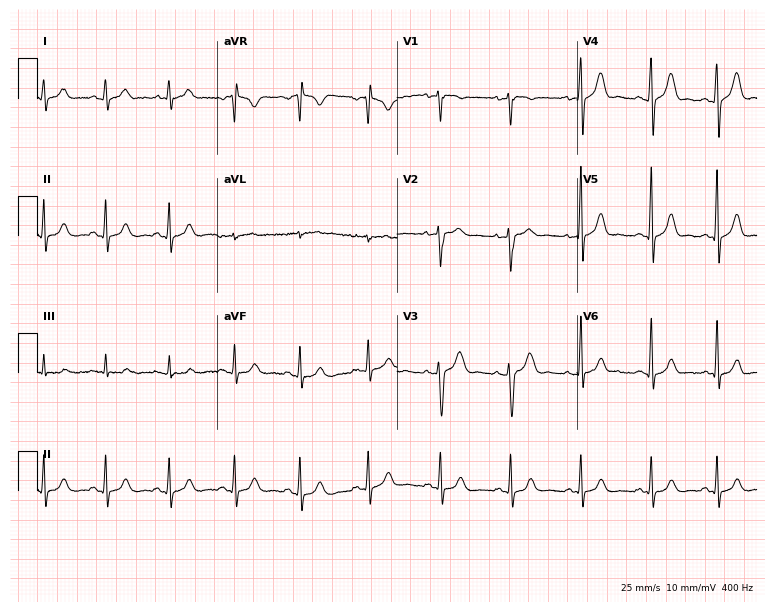
12-lead ECG from a 27-year-old female patient. No first-degree AV block, right bundle branch block, left bundle branch block, sinus bradycardia, atrial fibrillation or sinus tachycardia recorded for this tracing. Other findings, if any, are not listed.